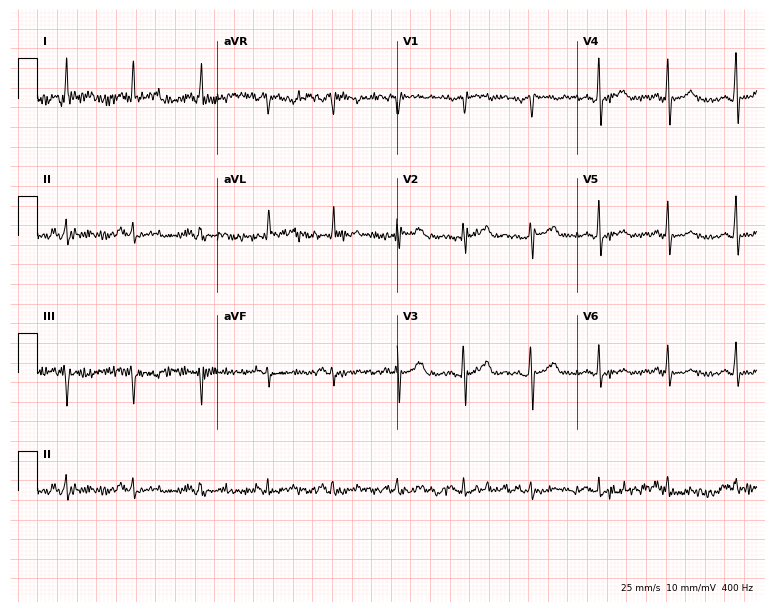
12-lead ECG from a woman, 58 years old. No first-degree AV block, right bundle branch block, left bundle branch block, sinus bradycardia, atrial fibrillation or sinus tachycardia recorded for this tracing. Findings outside these six are not listed.